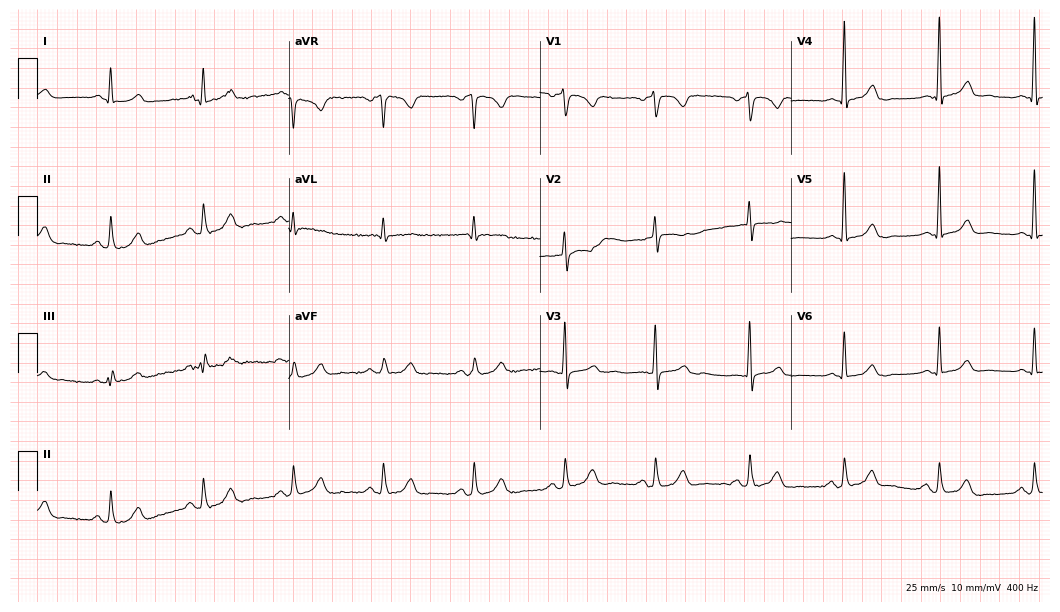
12-lead ECG (10.2-second recording at 400 Hz) from a woman, 72 years old. Labelled as a normal ECG.